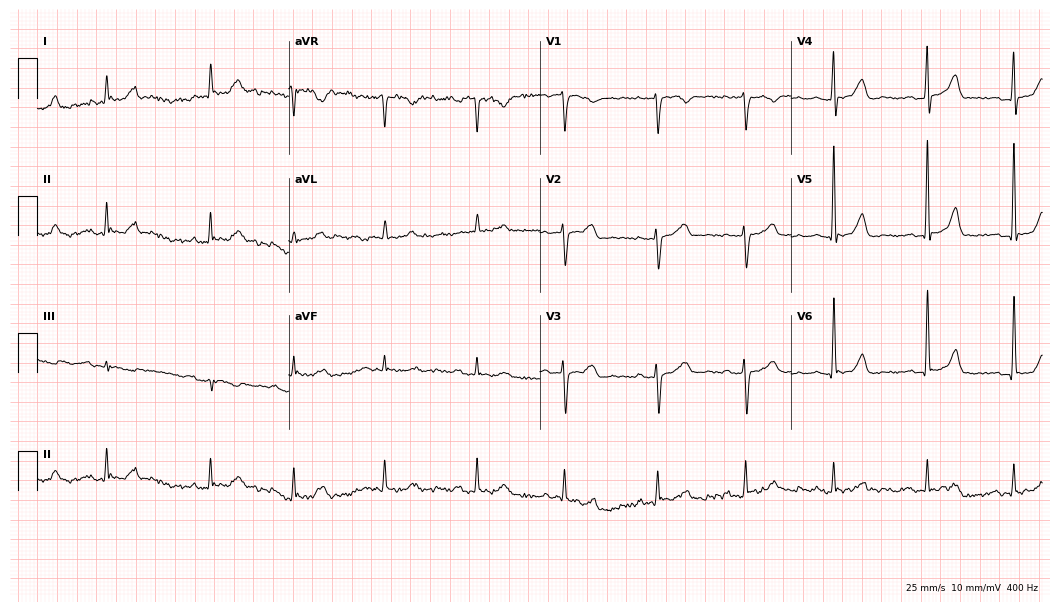
12-lead ECG (10.2-second recording at 400 Hz) from a 73-year-old female. Screened for six findings — first-degree AV block, right bundle branch block, left bundle branch block, sinus bradycardia, atrial fibrillation, sinus tachycardia — none is recorded. Findings outside these six are not listed.